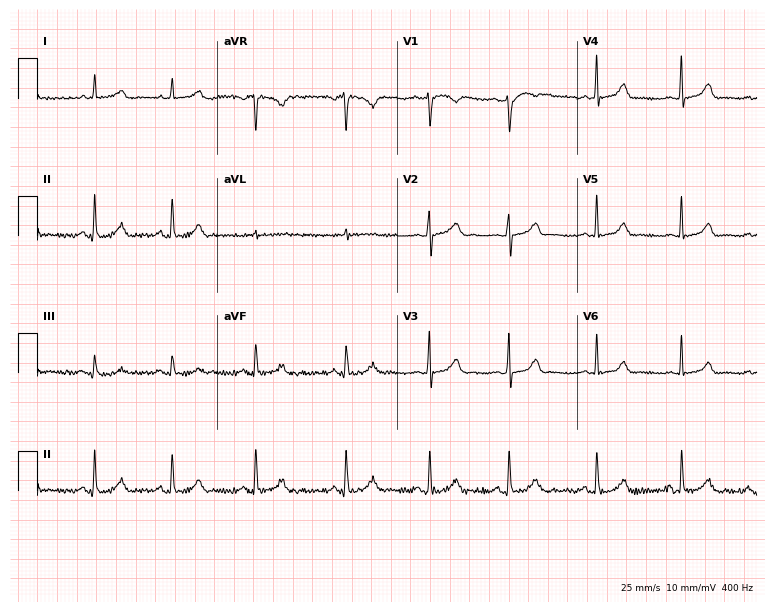
ECG (7.3-second recording at 400 Hz) — a female, 24 years old. Labelled as a normal ECG.